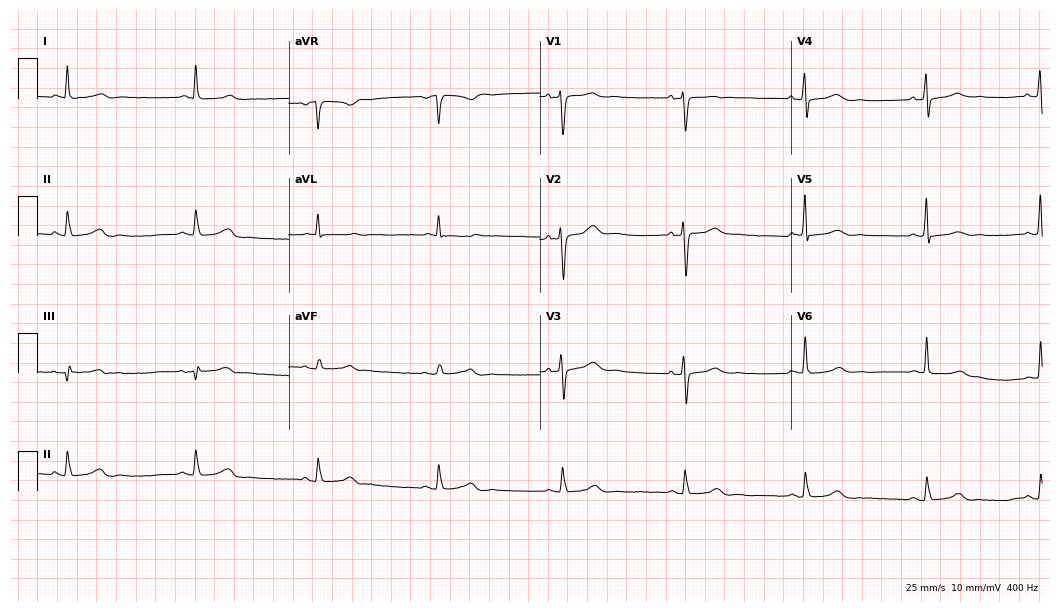
Standard 12-lead ECG recorded from a woman, 52 years old. Read as a normal ECG.